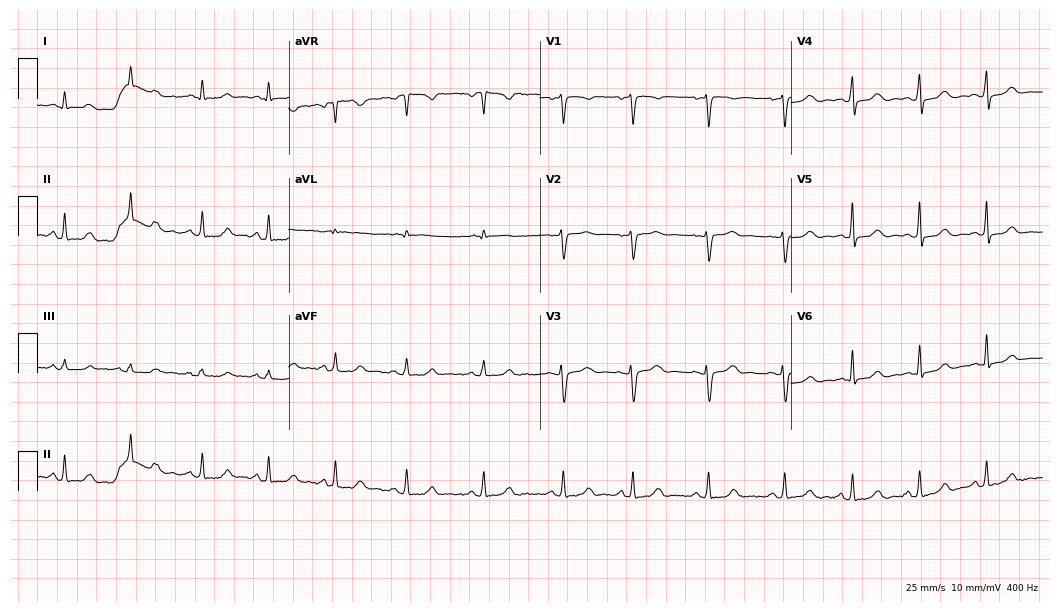
Standard 12-lead ECG recorded from a 47-year-old woman. None of these six findings is recorded: first-degree AV block, right bundle branch block (RBBB), left bundle branch block (LBBB), sinus bradycardia, atrial fibrillation (AF), sinus tachycardia. Other findings, if any, are not listed.